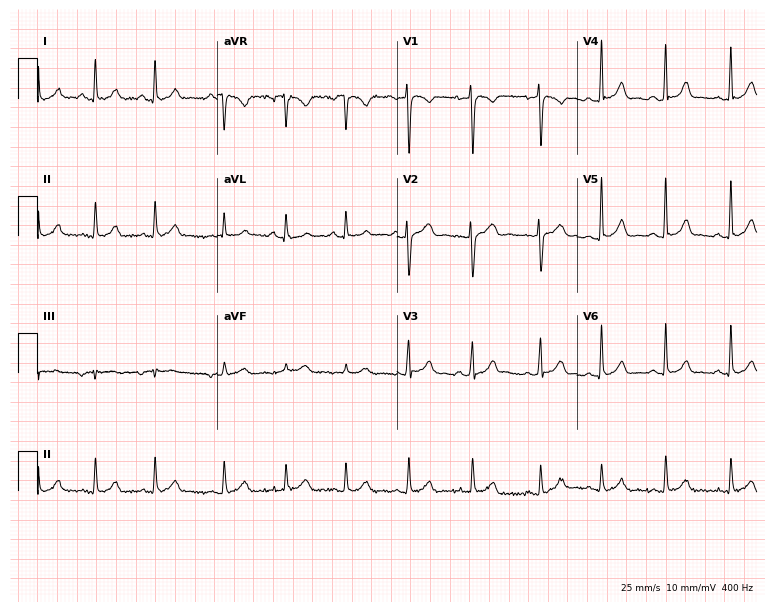
12-lead ECG from a 23-year-old female patient (7.3-second recording at 400 Hz). Recorded interpretation: within normal limits.